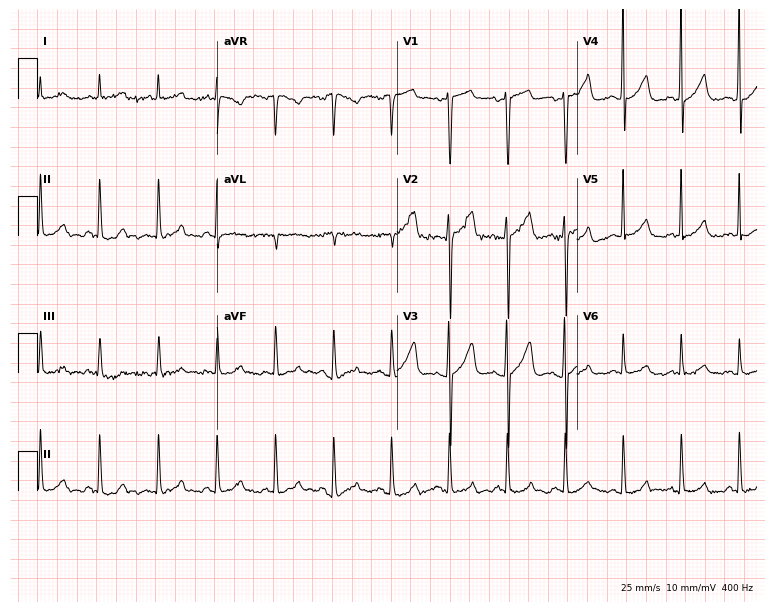
12-lead ECG from a male, 43 years old. Findings include sinus tachycardia (a sinus rate of 100 beats per minute or more).